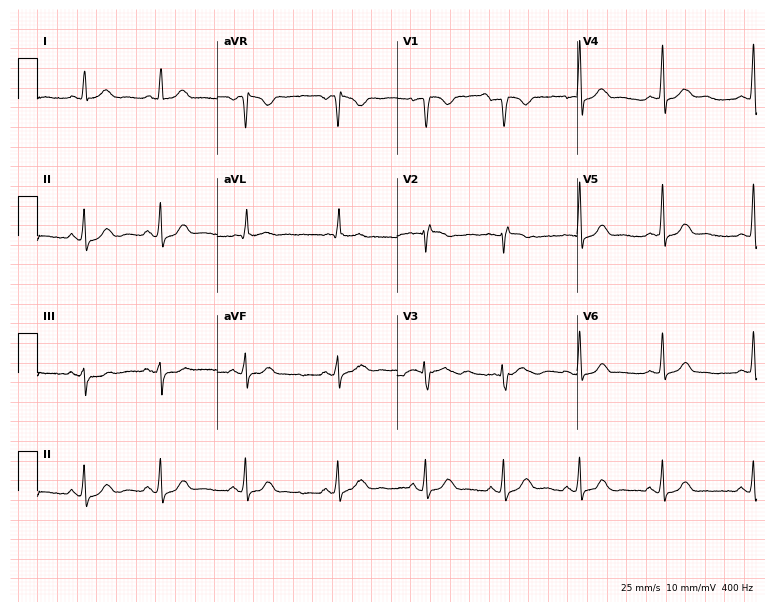
ECG (7.3-second recording at 400 Hz) — a 24-year-old female. Screened for six findings — first-degree AV block, right bundle branch block, left bundle branch block, sinus bradycardia, atrial fibrillation, sinus tachycardia — none is recorded.